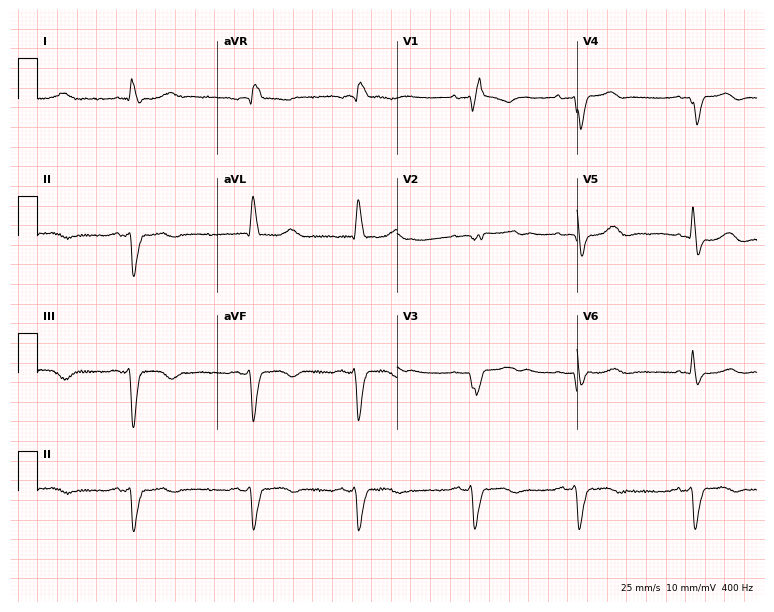
ECG (7.3-second recording at 400 Hz) — an 80-year-old male. Findings include right bundle branch block.